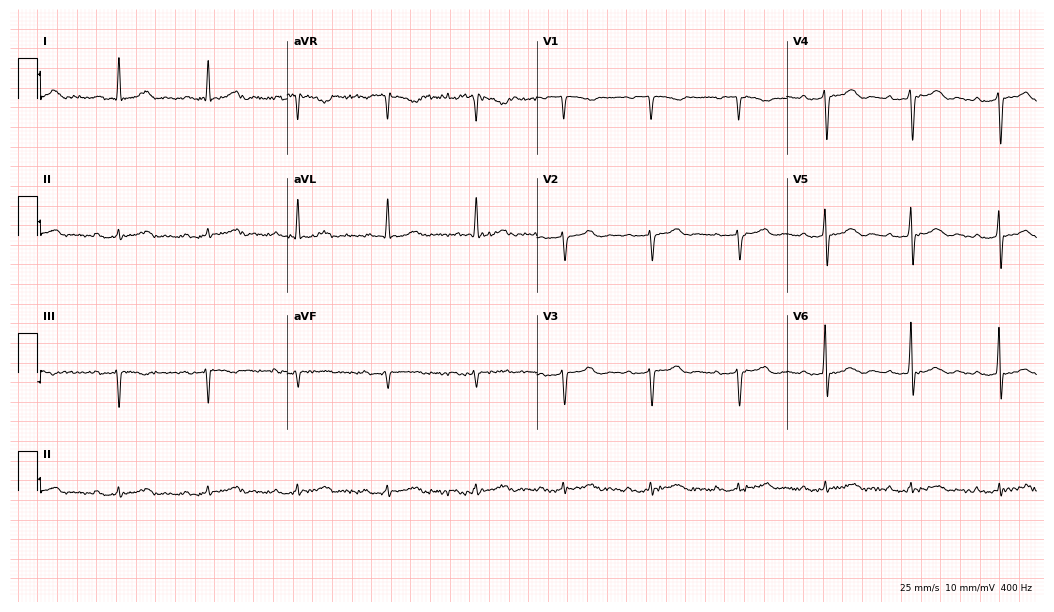
12-lead ECG (10.2-second recording at 400 Hz) from a female, 77 years old. Findings include first-degree AV block.